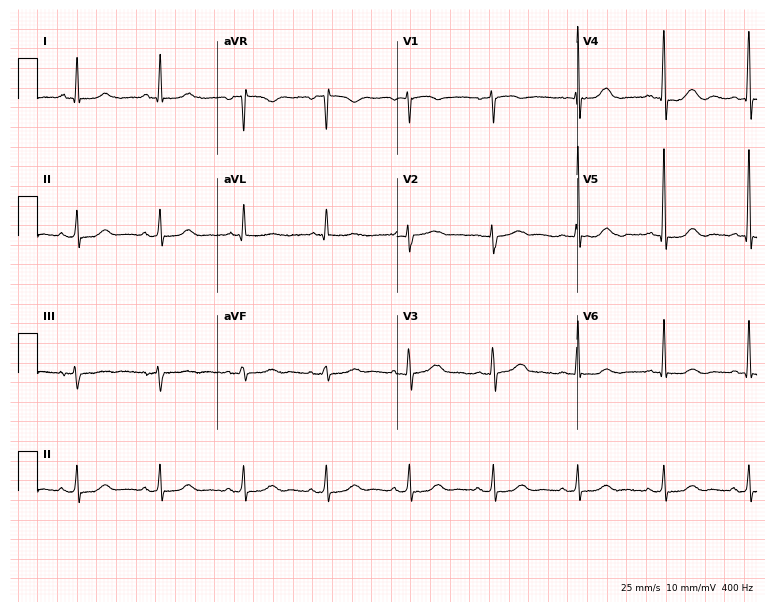
12-lead ECG from a 68-year-old woman. Labelled as a normal ECG.